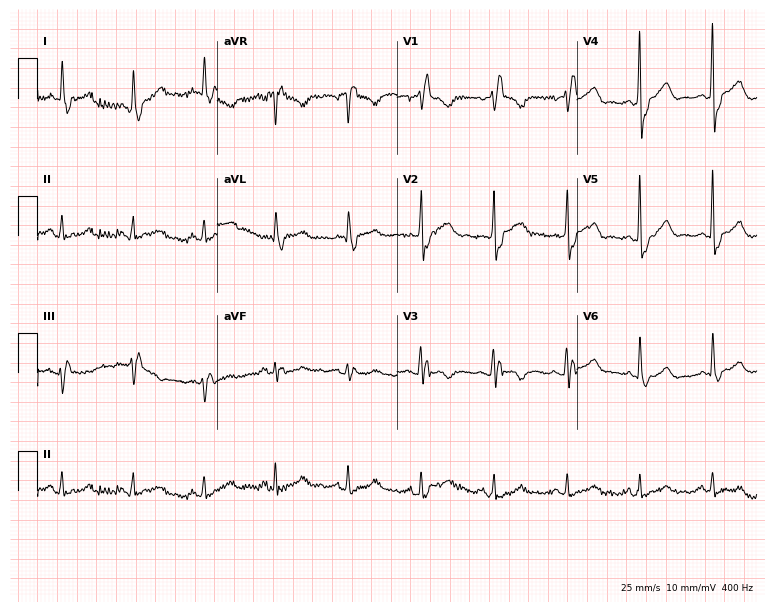
Resting 12-lead electrocardiogram. Patient: a woman, 69 years old. The tracing shows right bundle branch block.